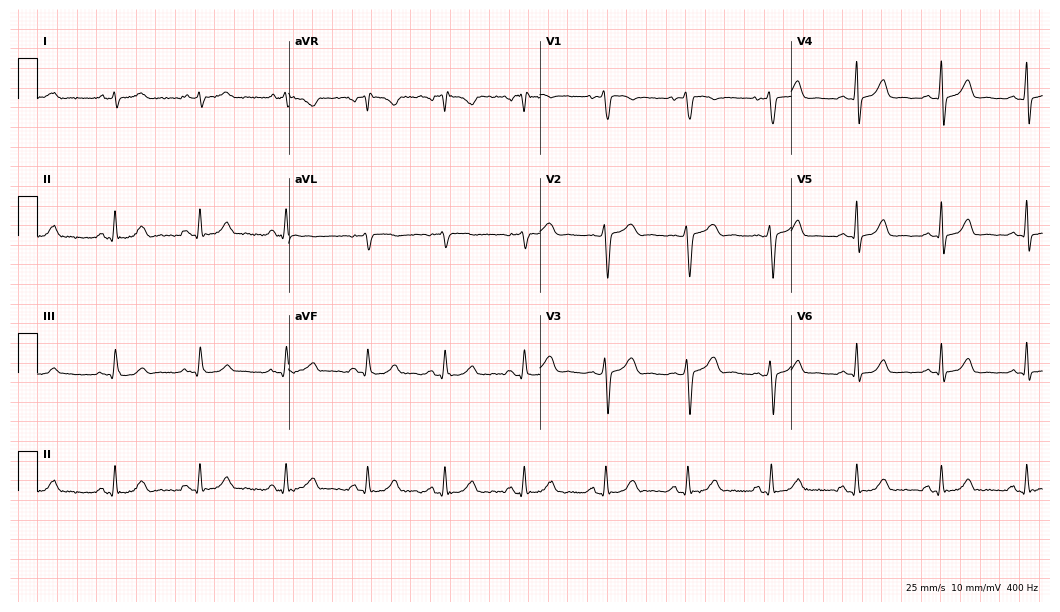
Electrocardiogram, a 30-year-old female patient. Of the six screened findings (first-degree AV block, right bundle branch block, left bundle branch block, sinus bradycardia, atrial fibrillation, sinus tachycardia), none is recorded. Other findings, if any, are not listed.